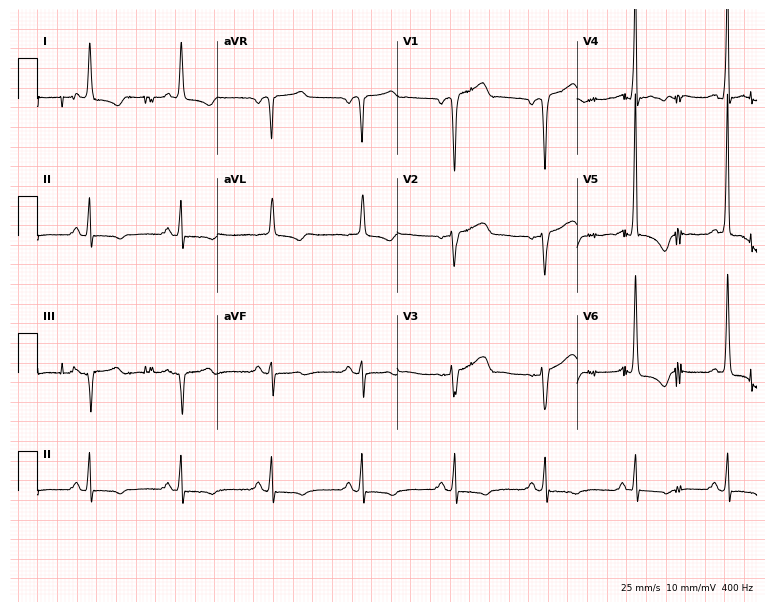
Standard 12-lead ECG recorded from a 64-year-old woman (7.3-second recording at 400 Hz). None of these six findings is recorded: first-degree AV block, right bundle branch block (RBBB), left bundle branch block (LBBB), sinus bradycardia, atrial fibrillation (AF), sinus tachycardia. Other findings, if any, are not listed.